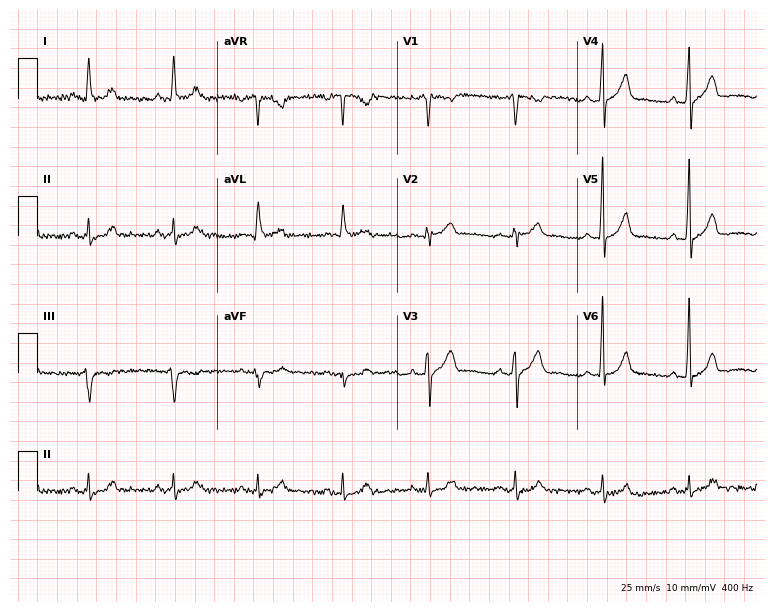
Electrocardiogram (7.3-second recording at 400 Hz), a 57-year-old male. Overall reading on record: normal ECG.